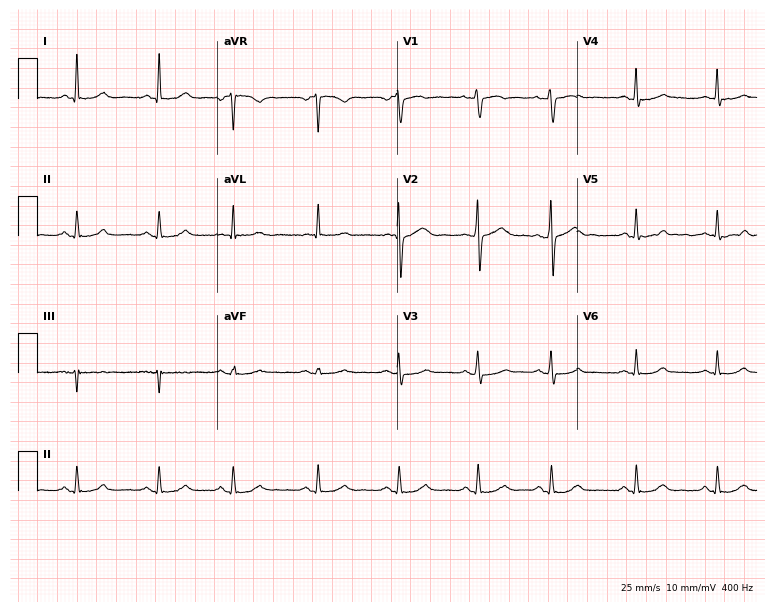
ECG — a 58-year-old female. Labelled as a normal ECG.